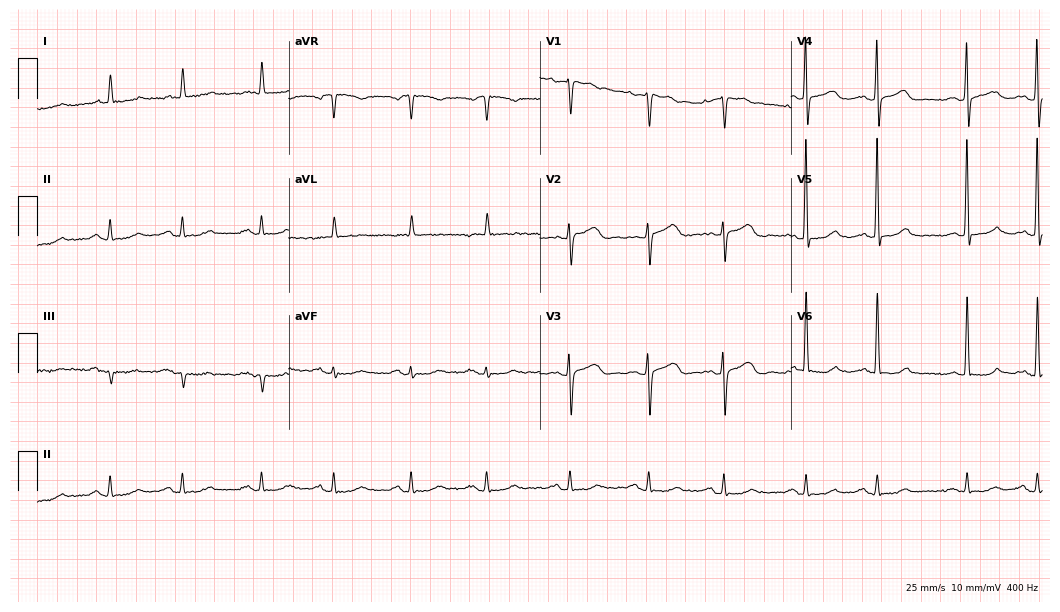
12-lead ECG (10.2-second recording at 400 Hz) from a 73-year-old female. Labelled as a normal ECG.